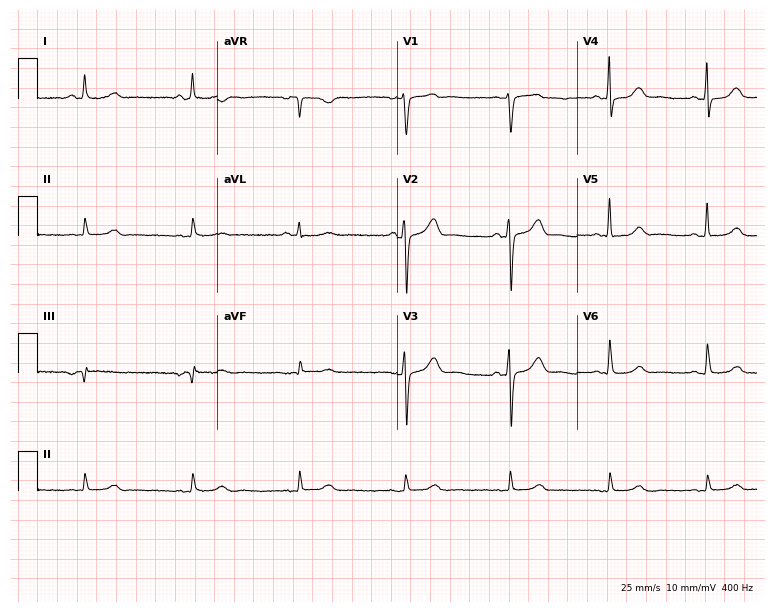
Electrocardiogram, a 77-year-old female. Overall reading on record: normal ECG.